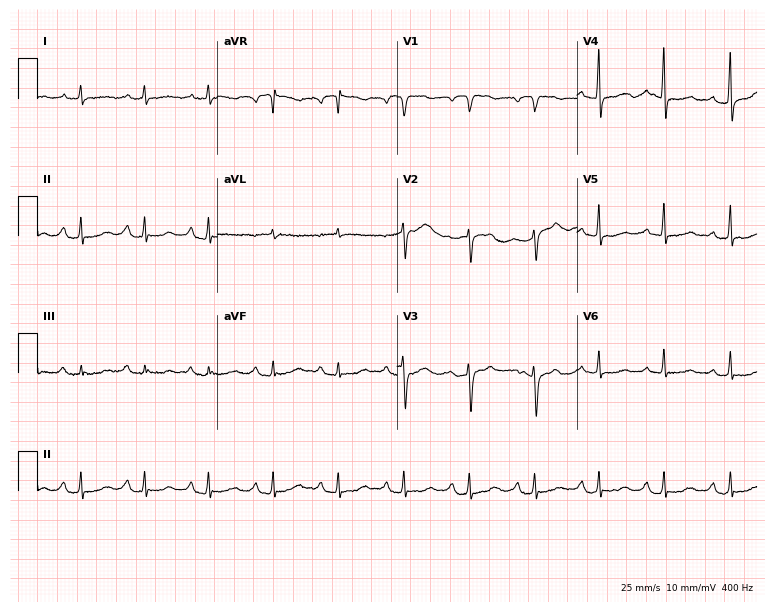
Resting 12-lead electrocardiogram. Patient: a woman, 68 years old. None of these six findings is recorded: first-degree AV block, right bundle branch block, left bundle branch block, sinus bradycardia, atrial fibrillation, sinus tachycardia.